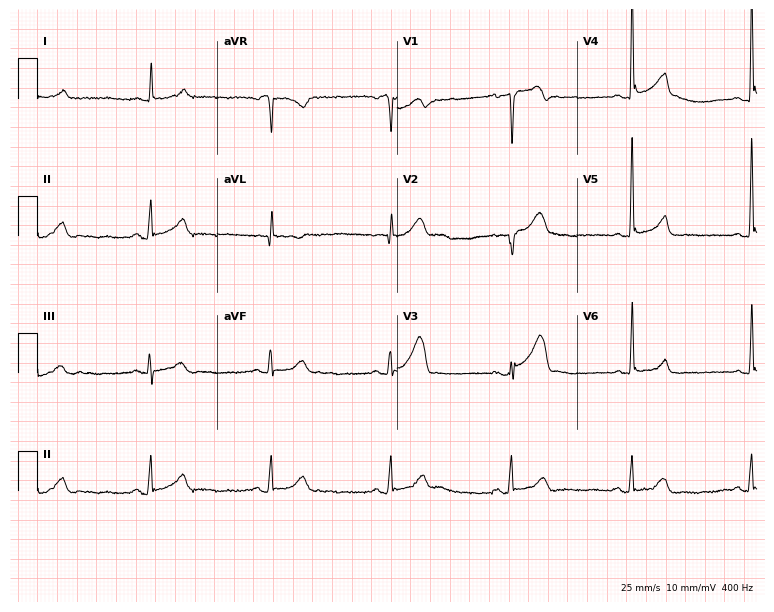
Electrocardiogram, a 77-year-old male. Of the six screened findings (first-degree AV block, right bundle branch block, left bundle branch block, sinus bradycardia, atrial fibrillation, sinus tachycardia), none is recorded. Findings outside these six are not listed.